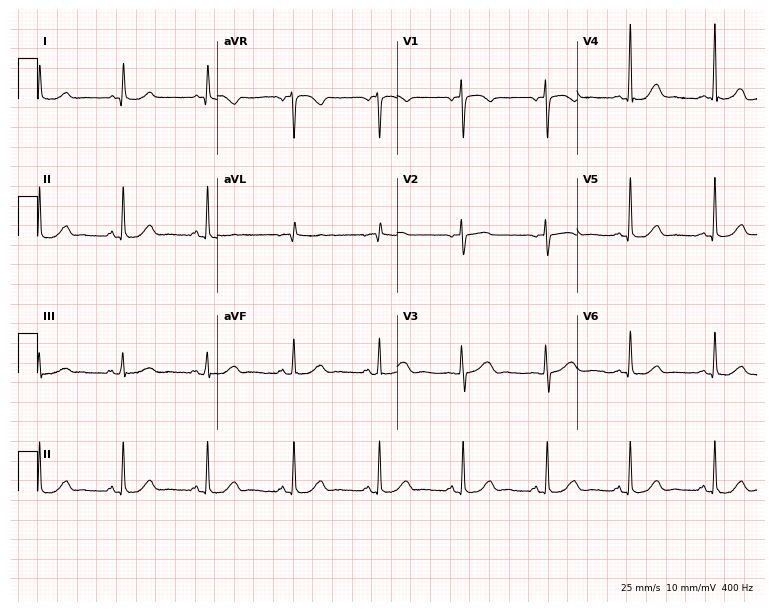
Electrocardiogram, a woman, 77 years old. Overall reading on record: normal ECG.